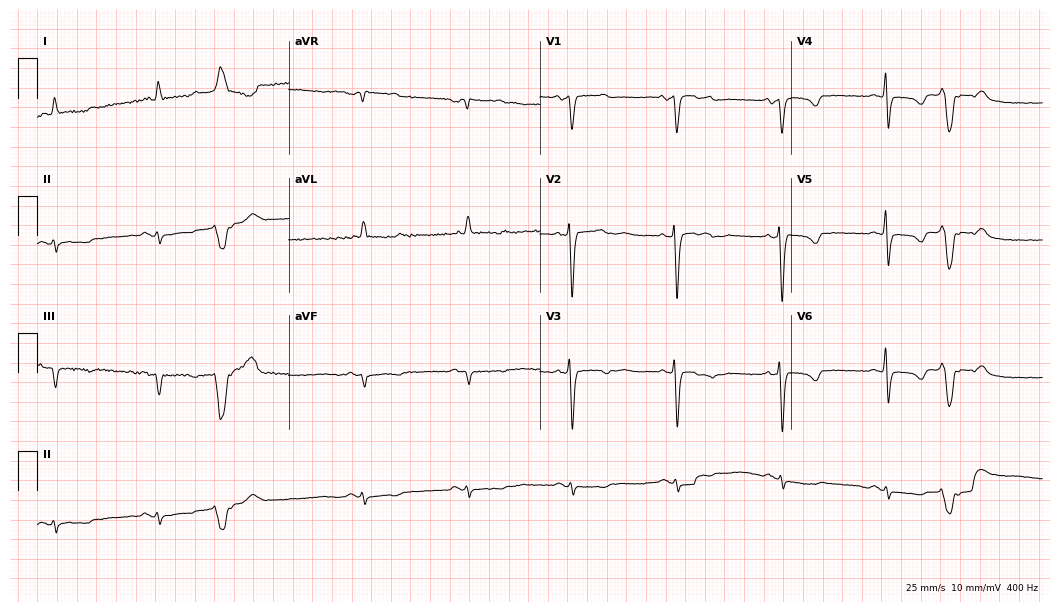
ECG (10.2-second recording at 400 Hz) — a male patient, 74 years old. Screened for six findings — first-degree AV block, right bundle branch block, left bundle branch block, sinus bradycardia, atrial fibrillation, sinus tachycardia — none is recorded. Only these six findings were labelled.